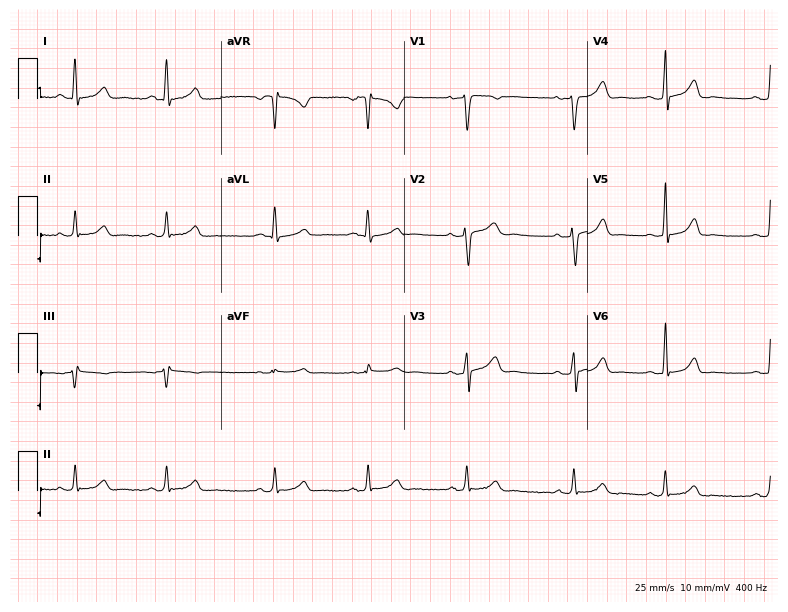
Standard 12-lead ECG recorded from a woman, 28 years old. Read as a normal ECG.